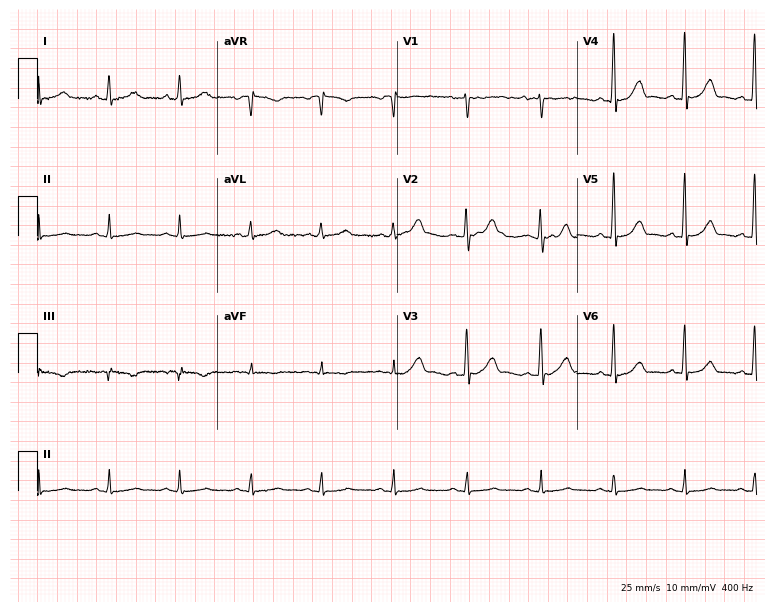
Resting 12-lead electrocardiogram (7.3-second recording at 400 Hz). Patient: a 39-year-old woman. Read as a normal ECG.